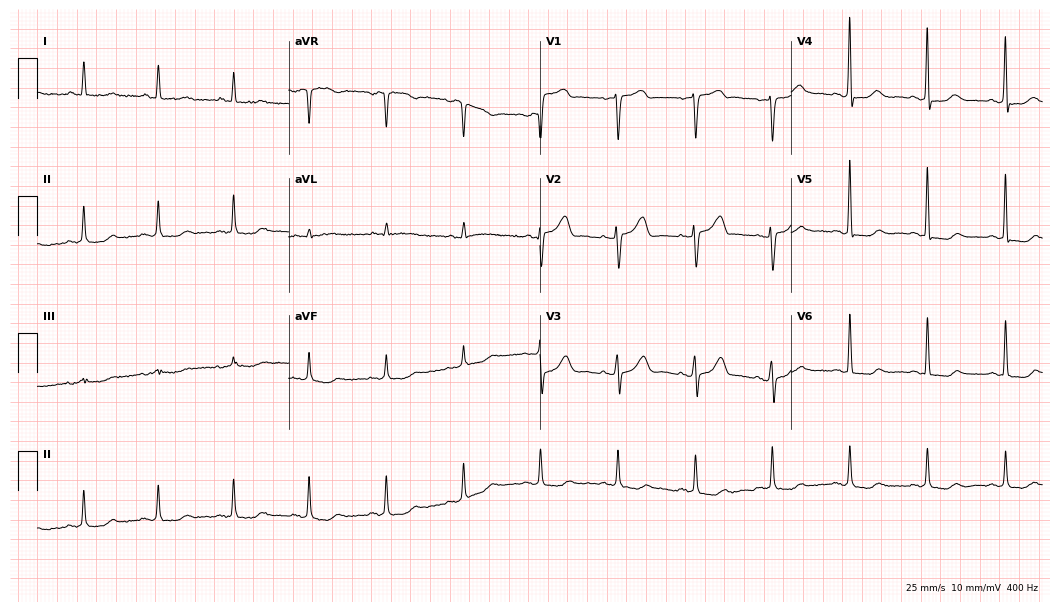
Resting 12-lead electrocardiogram. Patient: a 77-year-old female. Read as a normal ECG.